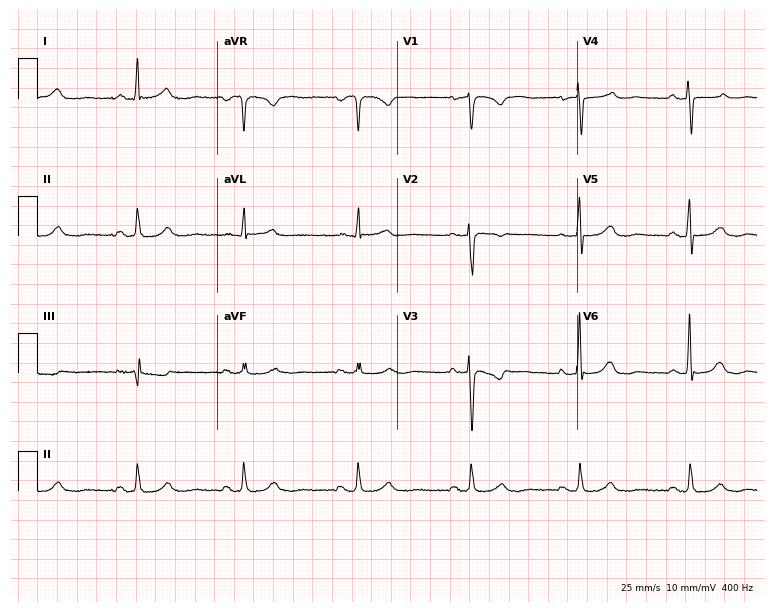
Standard 12-lead ECG recorded from a 61-year-old female. Read as a normal ECG.